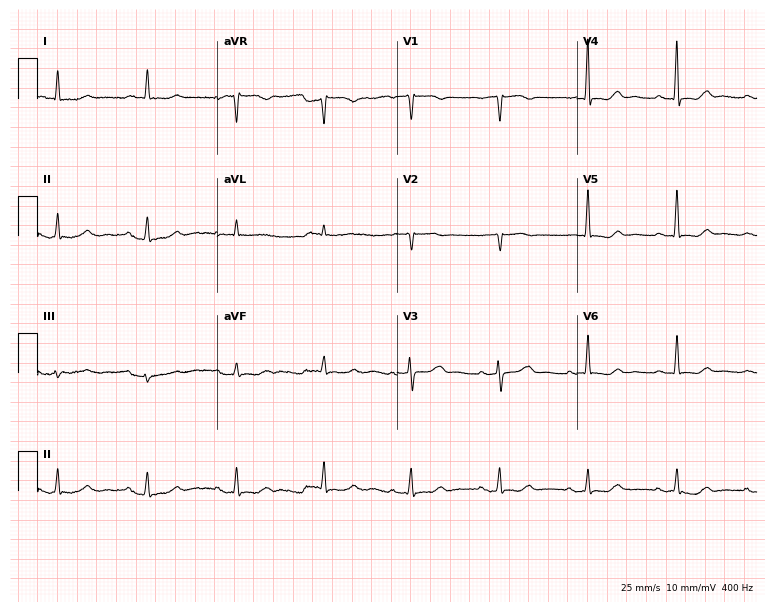
12-lead ECG (7.3-second recording at 400 Hz) from a 79-year-old woman. Screened for six findings — first-degree AV block, right bundle branch block (RBBB), left bundle branch block (LBBB), sinus bradycardia, atrial fibrillation (AF), sinus tachycardia — none is recorded. Only these six findings were labelled.